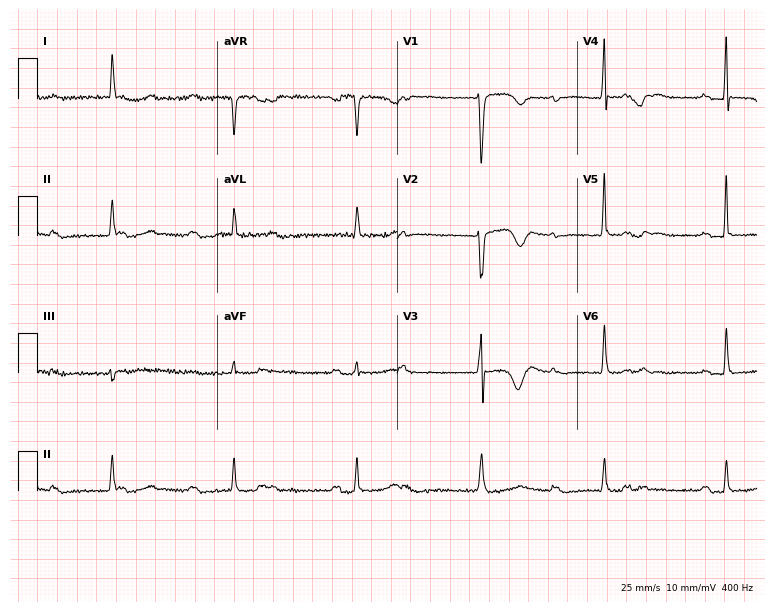
Electrocardiogram (7.3-second recording at 400 Hz), a woman, 68 years old. Of the six screened findings (first-degree AV block, right bundle branch block (RBBB), left bundle branch block (LBBB), sinus bradycardia, atrial fibrillation (AF), sinus tachycardia), none is recorded. Only these six findings were labelled.